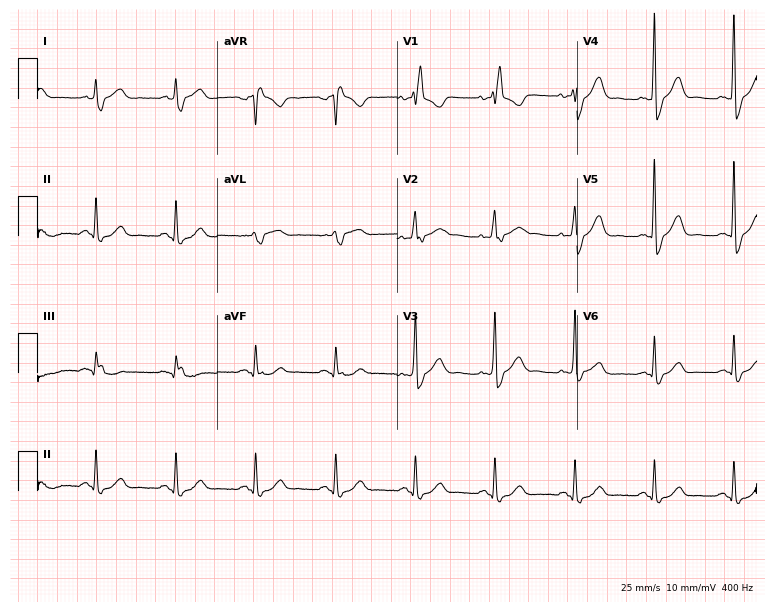
12-lead ECG (7.3-second recording at 400 Hz) from a 78-year-old woman. Screened for six findings — first-degree AV block, right bundle branch block, left bundle branch block, sinus bradycardia, atrial fibrillation, sinus tachycardia — none is recorded.